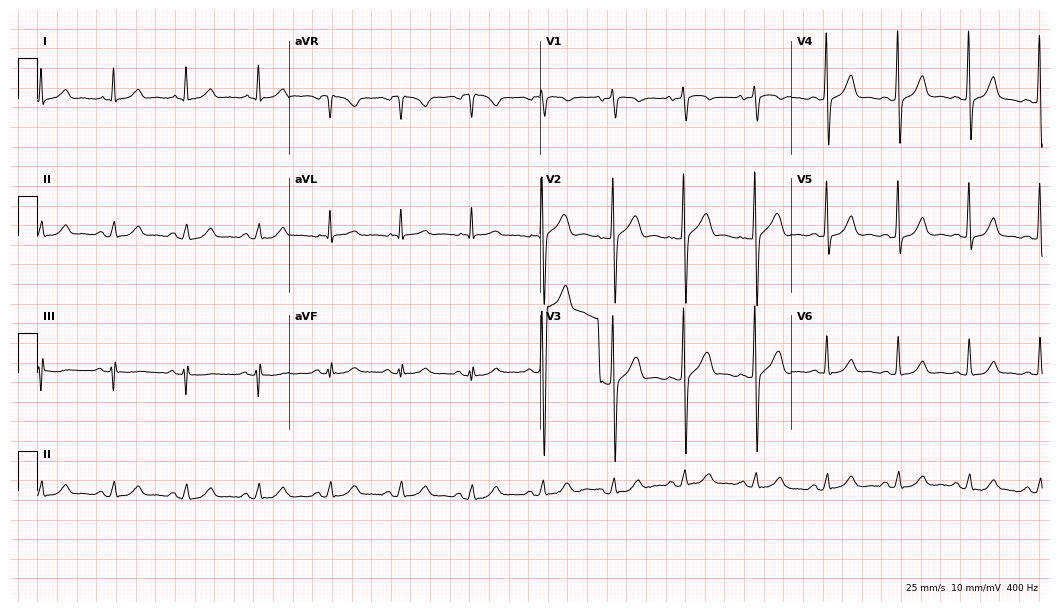
12-lead ECG from a male, 68 years old (10.2-second recording at 400 Hz). Recorded interpretation: within normal limits.